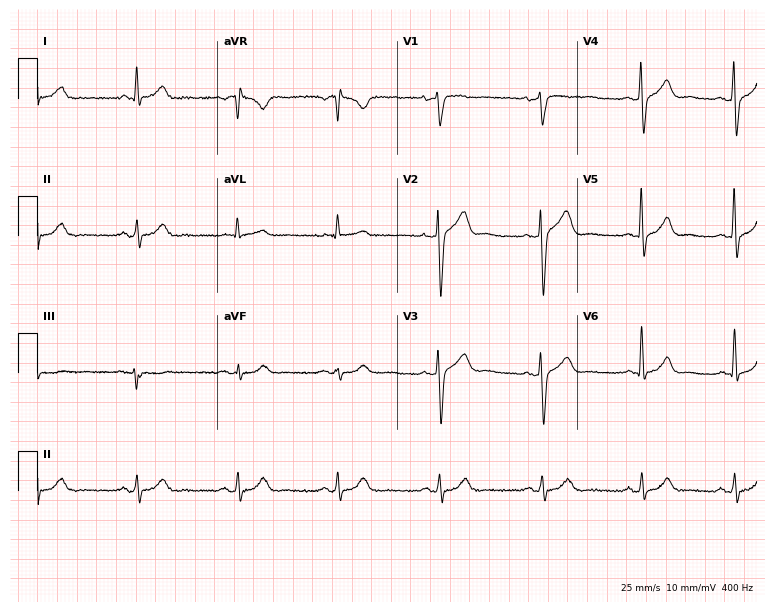
12-lead ECG from a 72-year-old male. Recorded interpretation: within normal limits.